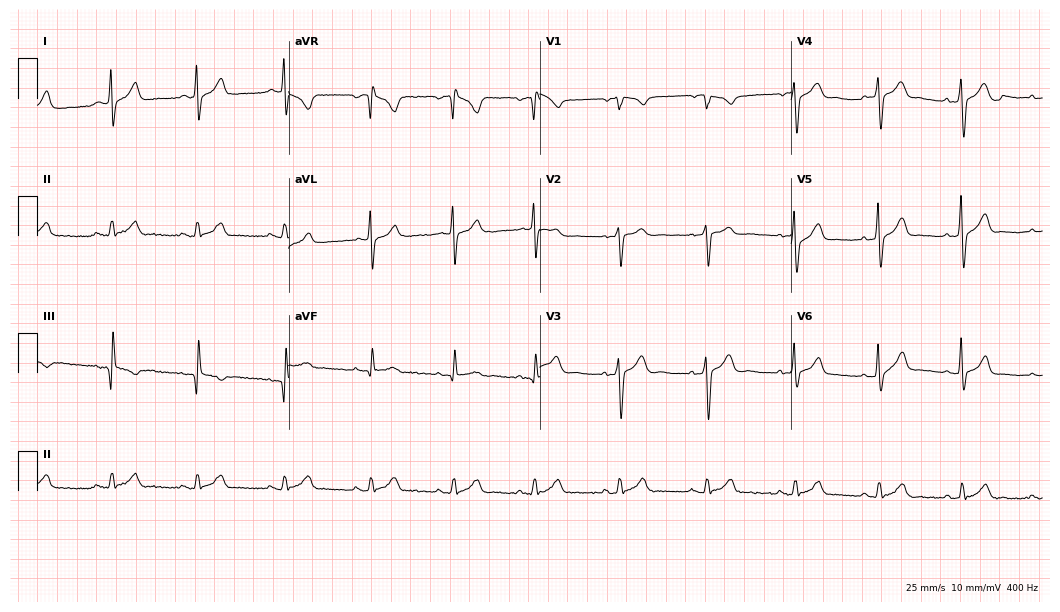
Electrocardiogram (10.2-second recording at 400 Hz), a male patient, 24 years old. Overall reading on record: normal ECG.